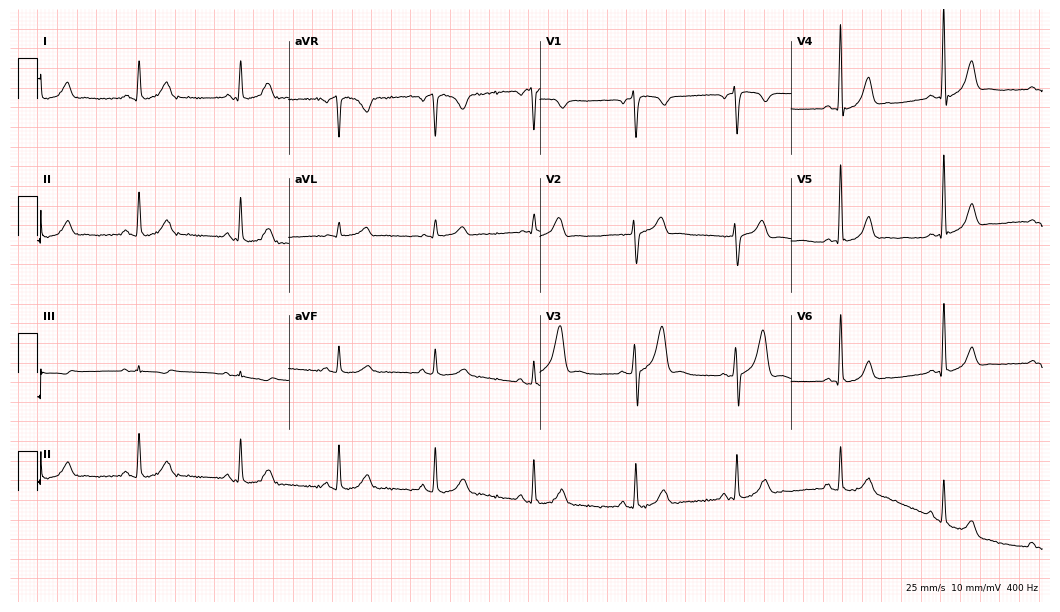
Resting 12-lead electrocardiogram (10.2-second recording at 400 Hz). Patient: a 50-year-old man. Read as a normal ECG.